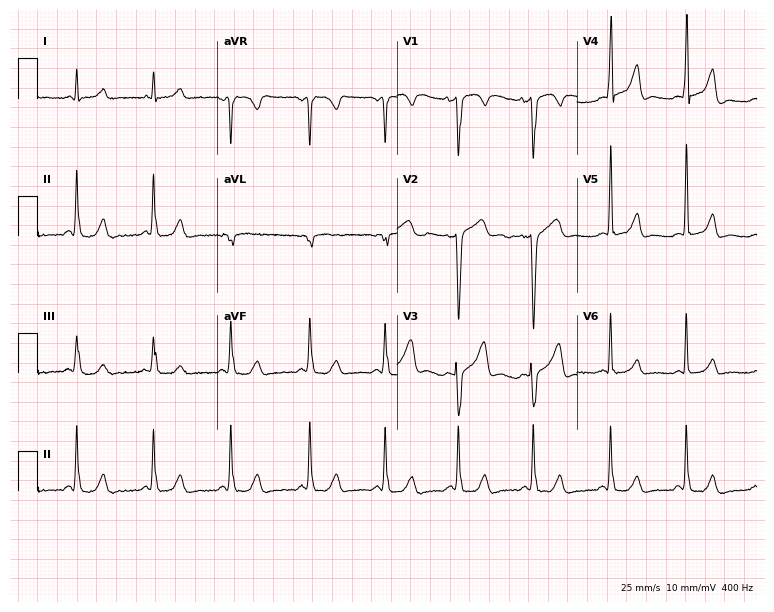
Resting 12-lead electrocardiogram (7.3-second recording at 400 Hz). Patient: a man, 35 years old. Read as a normal ECG.